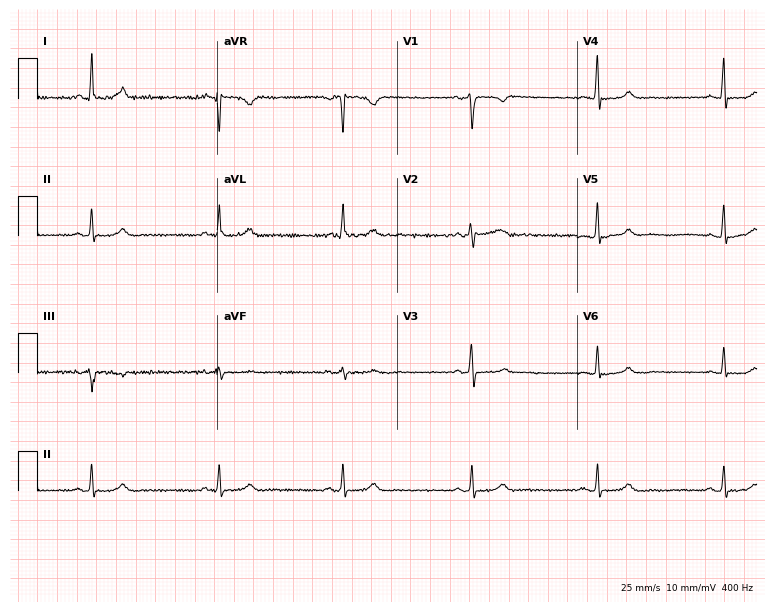
12-lead ECG from a 48-year-old female. Shows sinus bradycardia (a sinus rate of 50 beats per minute or less).